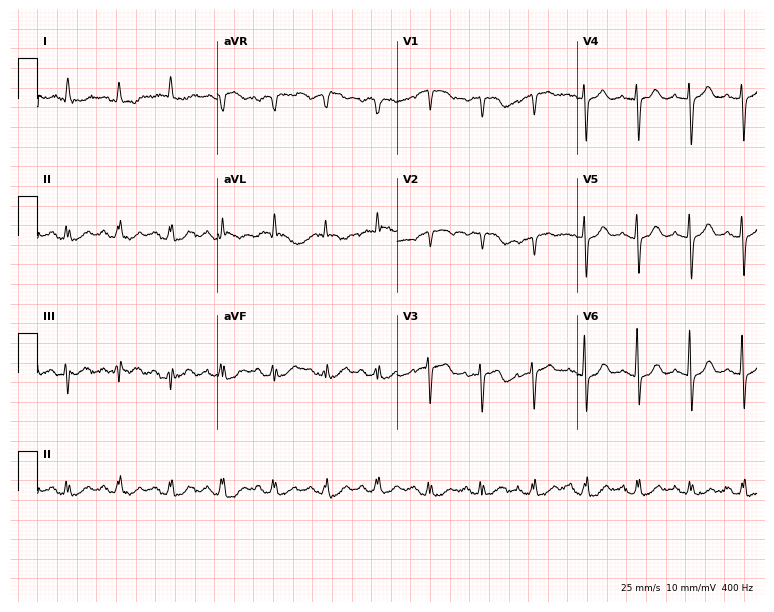
12-lead ECG from a 74-year-old female (7.3-second recording at 400 Hz). Shows sinus tachycardia (a sinus rate of 100 beats per minute or more).